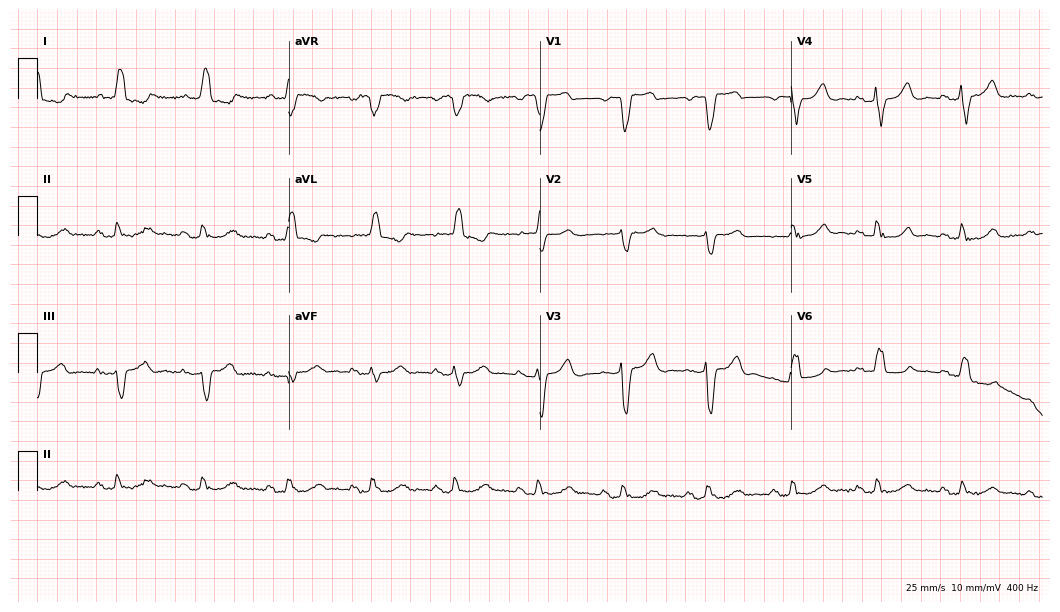
ECG — a female, 85 years old. Findings include left bundle branch block (LBBB).